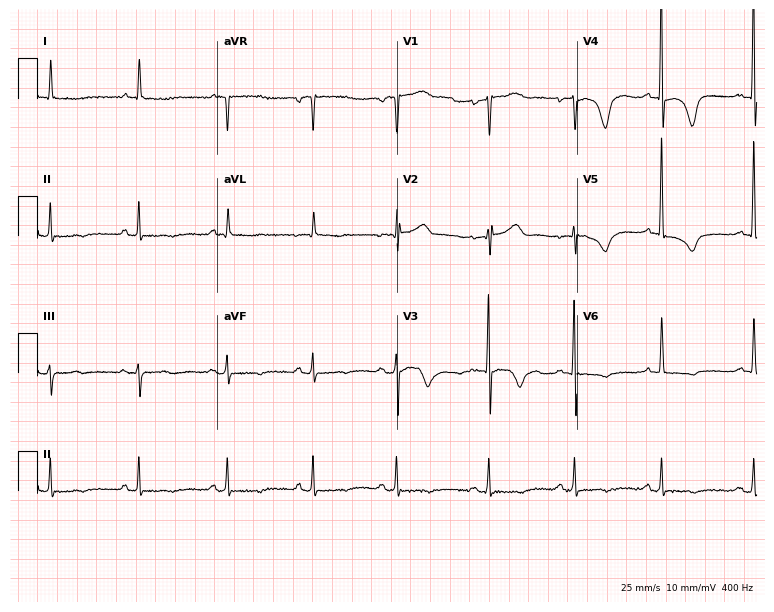
12-lead ECG from an 82-year-old female patient. Screened for six findings — first-degree AV block, right bundle branch block, left bundle branch block, sinus bradycardia, atrial fibrillation, sinus tachycardia — none is recorded. Other findings, if any, are not listed.